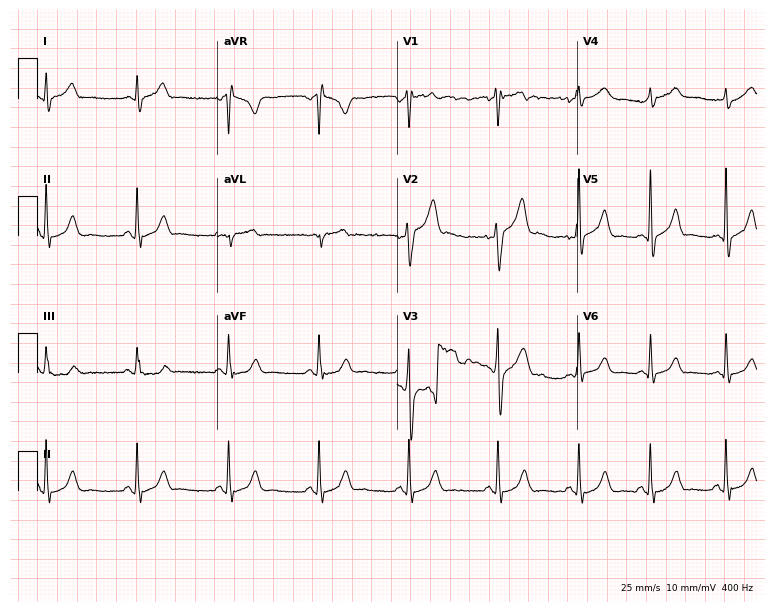
12-lead ECG from a male, 35 years old (7.3-second recording at 400 Hz). Recorded interpretation: within normal limits.